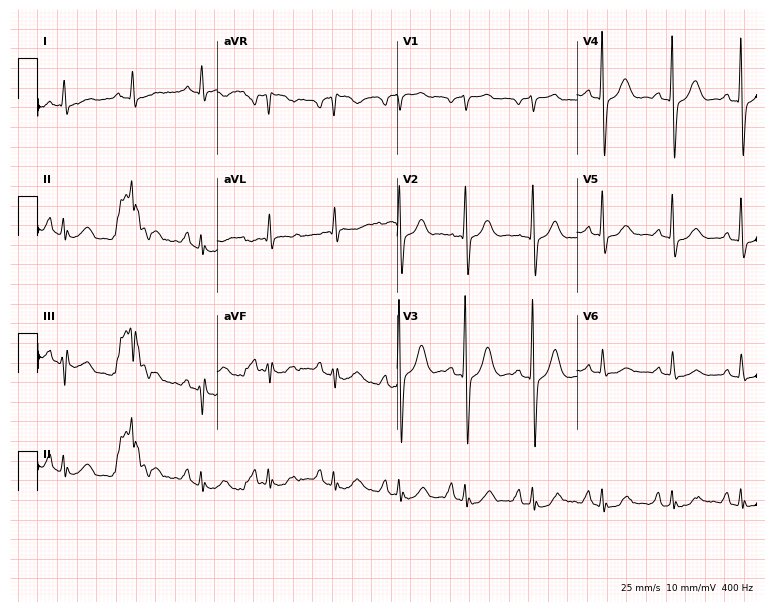
Standard 12-lead ECG recorded from a 72-year-old woman (7.3-second recording at 400 Hz). None of these six findings is recorded: first-degree AV block, right bundle branch block, left bundle branch block, sinus bradycardia, atrial fibrillation, sinus tachycardia. Other findings, if any, are not listed.